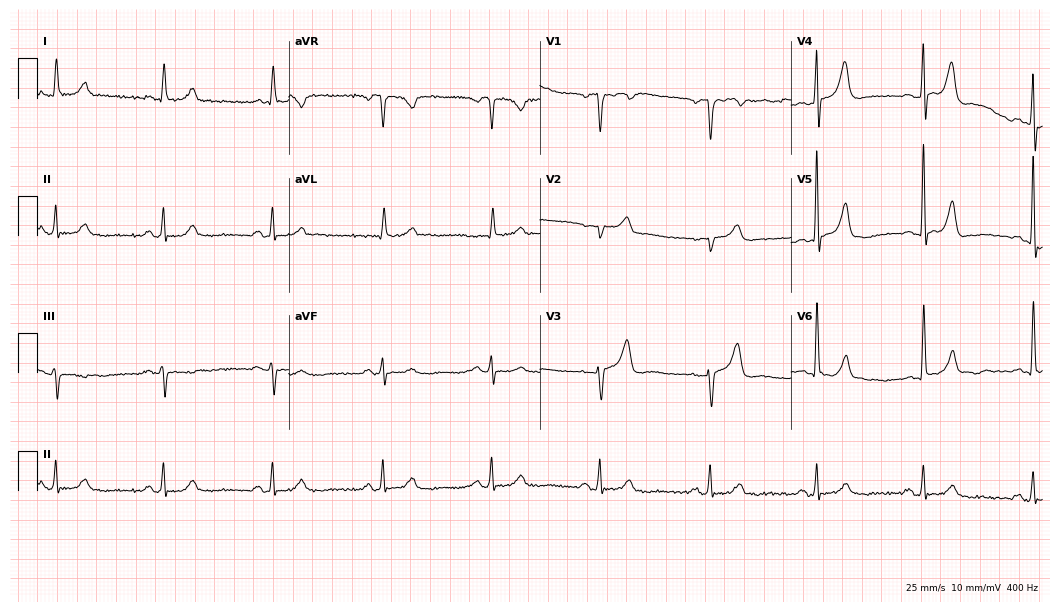
ECG — a male patient, 75 years old. Labelled as a normal ECG.